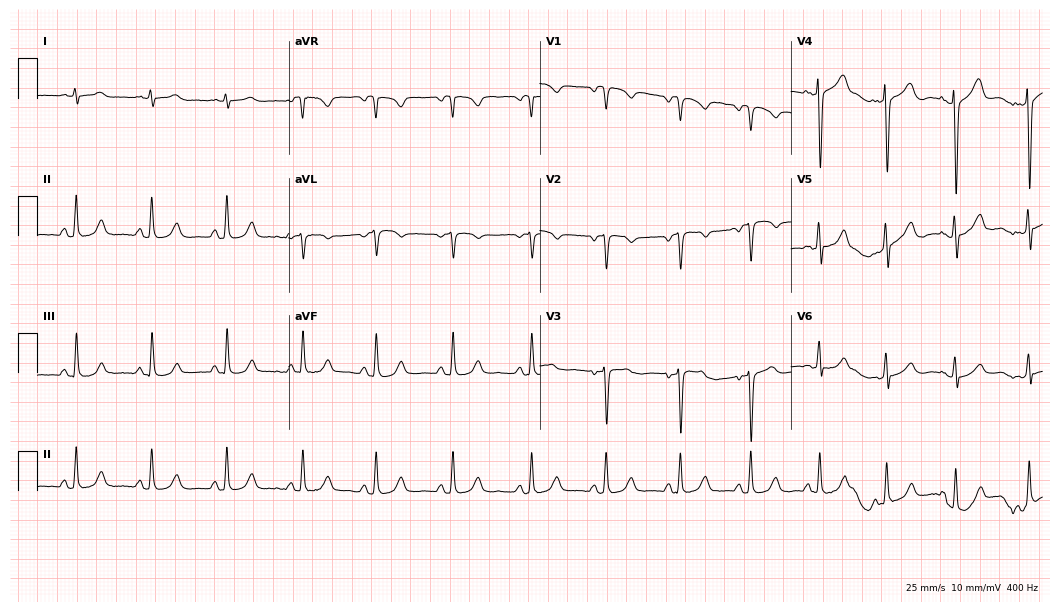
12-lead ECG (10.2-second recording at 400 Hz) from a man, 56 years old. Labelled as a normal ECG.